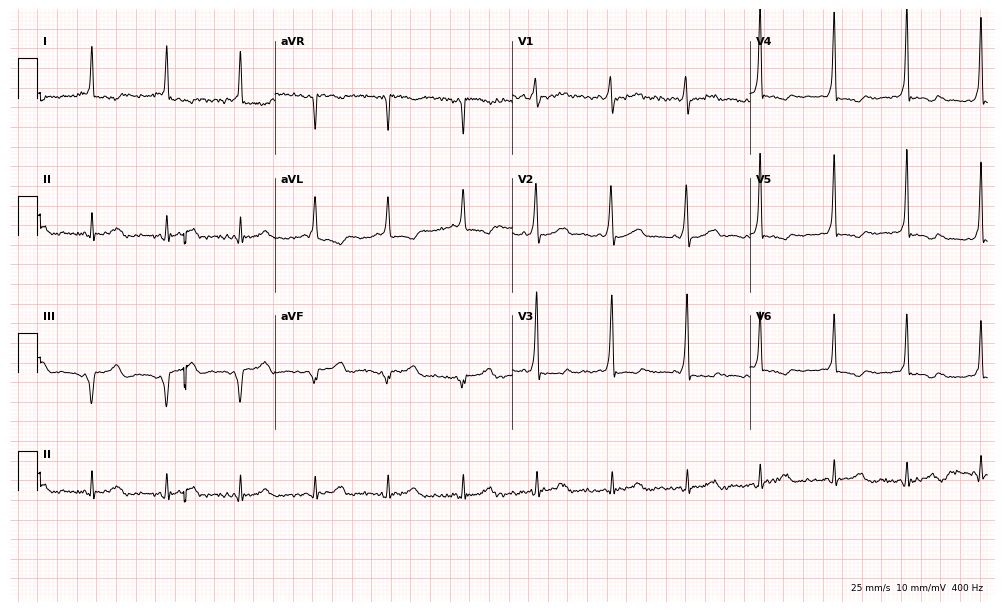
12-lead ECG from a female patient, 55 years old (9.7-second recording at 400 Hz). No first-degree AV block, right bundle branch block, left bundle branch block, sinus bradycardia, atrial fibrillation or sinus tachycardia recorded for this tracing.